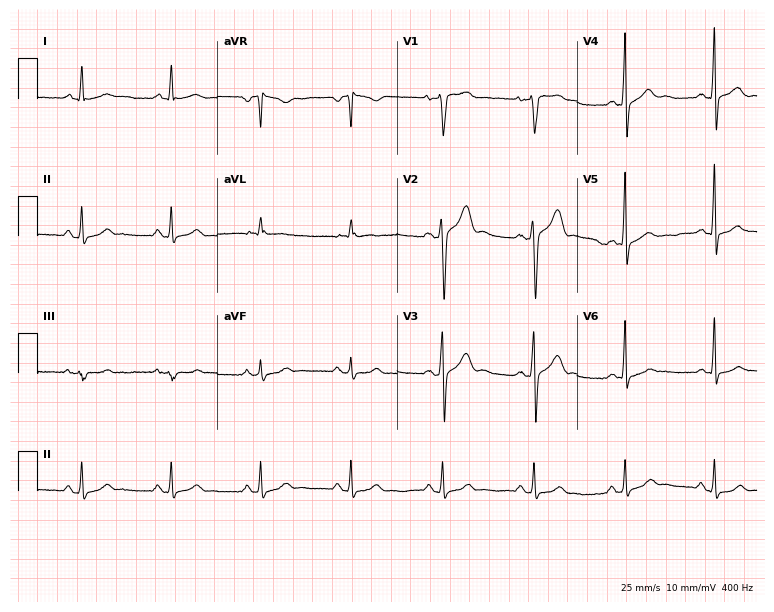
Standard 12-lead ECG recorded from a male, 48 years old. Read as a normal ECG.